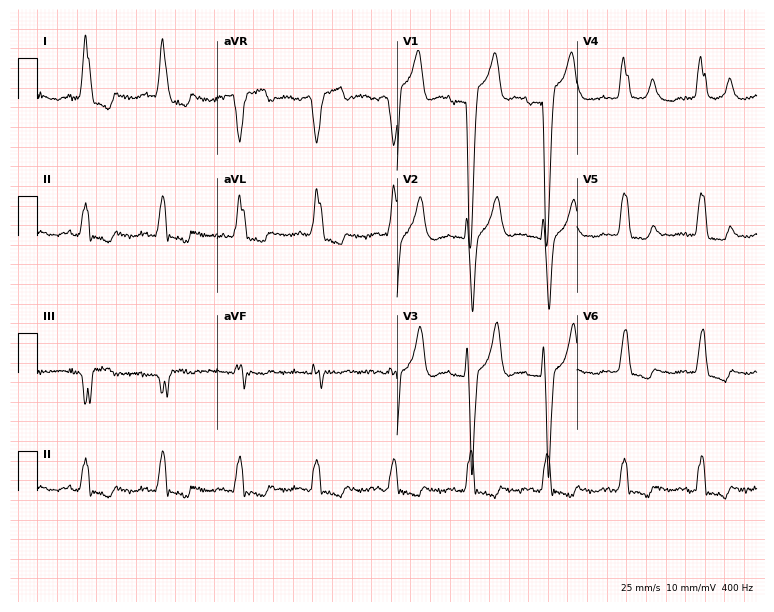
12-lead ECG from a female, 84 years old. Findings include left bundle branch block.